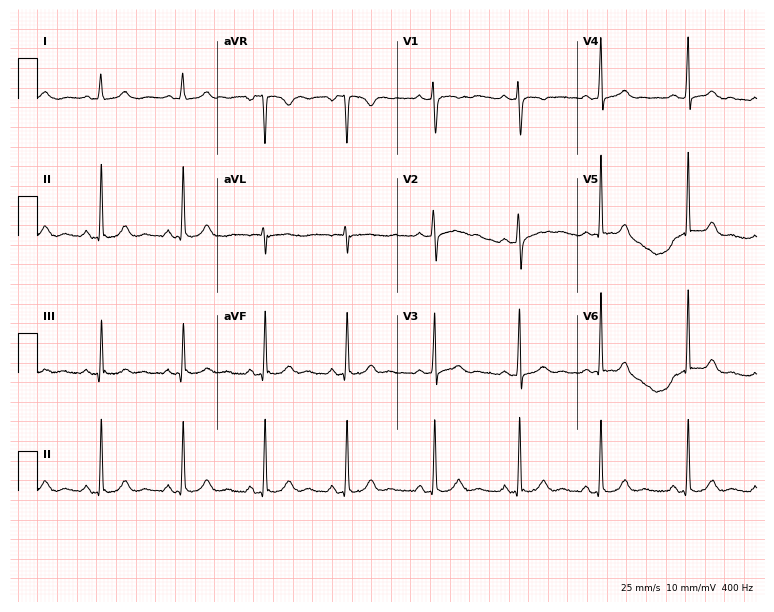
Standard 12-lead ECG recorded from a 17-year-old man. Read as a normal ECG.